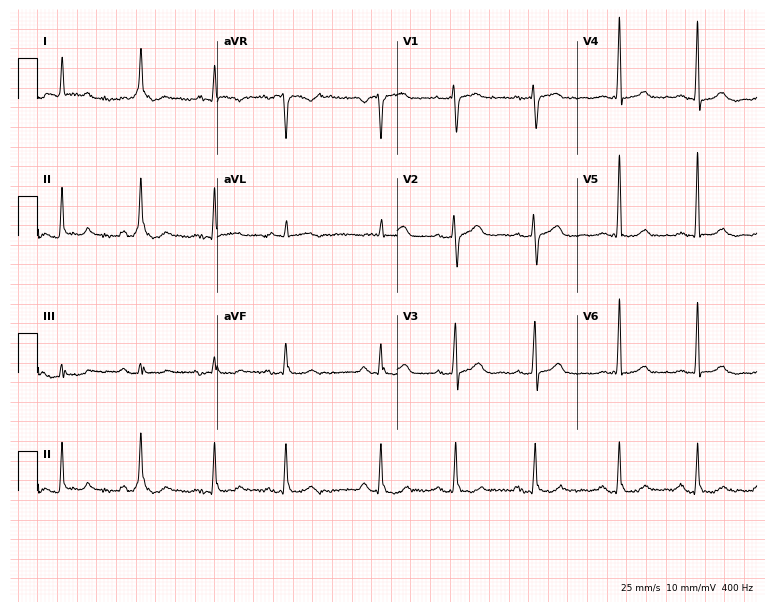
Electrocardiogram (7.3-second recording at 400 Hz), a 68-year-old female patient. Of the six screened findings (first-degree AV block, right bundle branch block, left bundle branch block, sinus bradycardia, atrial fibrillation, sinus tachycardia), none is recorded. Other findings, if any, are not listed.